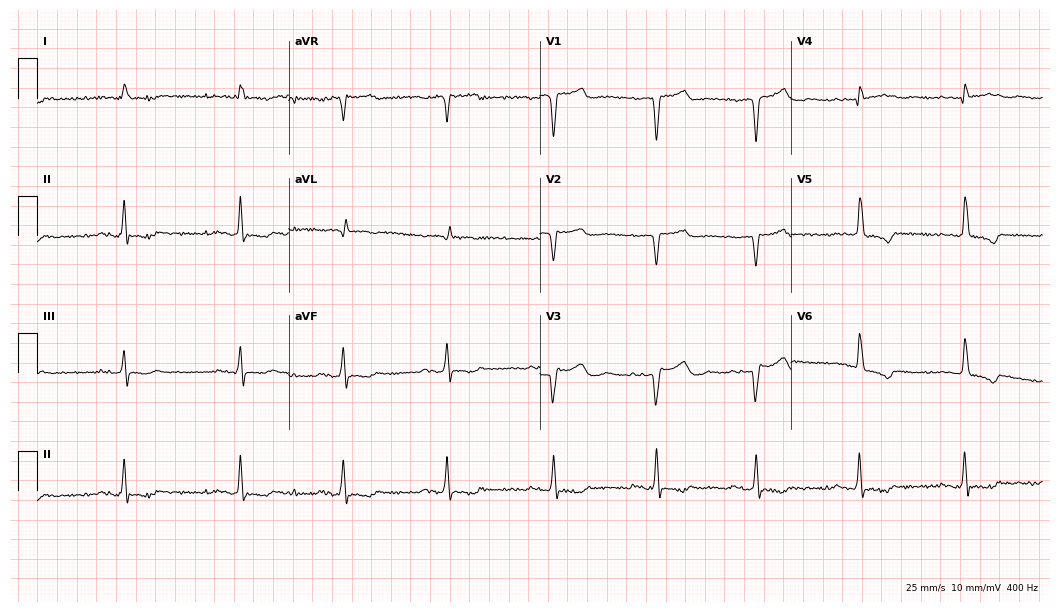
Standard 12-lead ECG recorded from a 72-year-old man (10.2-second recording at 400 Hz). None of these six findings is recorded: first-degree AV block, right bundle branch block, left bundle branch block, sinus bradycardia, atrial fibrillation, sinus tachycardia. Other findings, if any, are not listed.